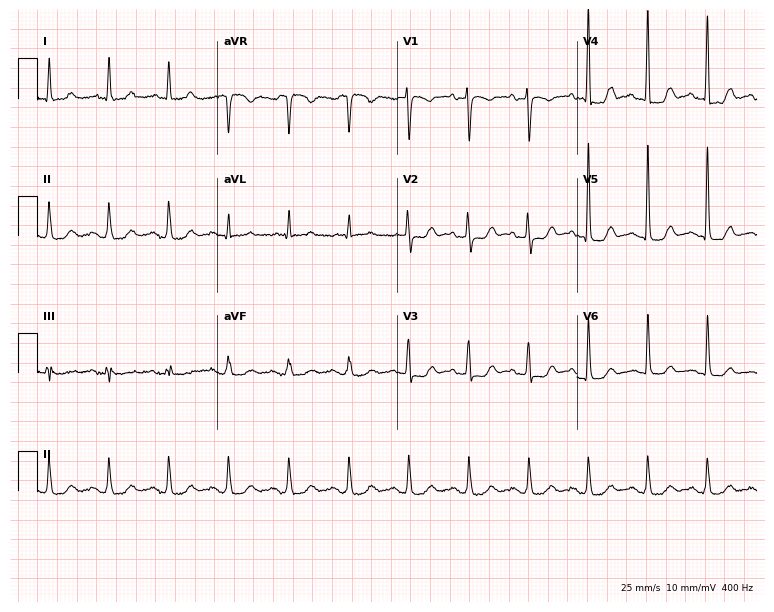
Electrocardiogram, a female, 71 years old. Of the six screened findings (first-degree AV block, right bundle branch block, left bundle branch block, sinus bradycardia, atrial fibrillation, sinus tachycardia), none is recorded.